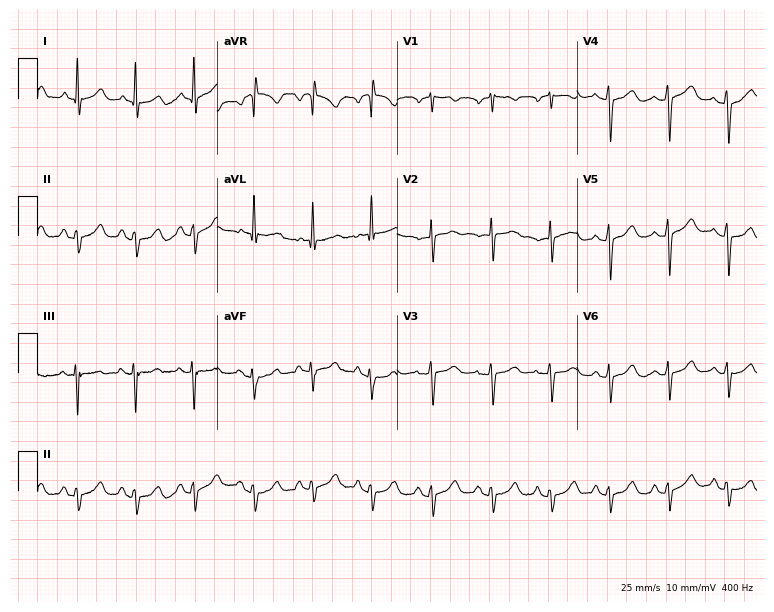
Resting 12-lead electrocardiogram. Patient: a female, 56 years old. None of these six findings is recorded: first-degree AV block, right bundle branch block, left bundle branch block, sinus bradycardia, atrial fibrillation, sinus tachycardia.